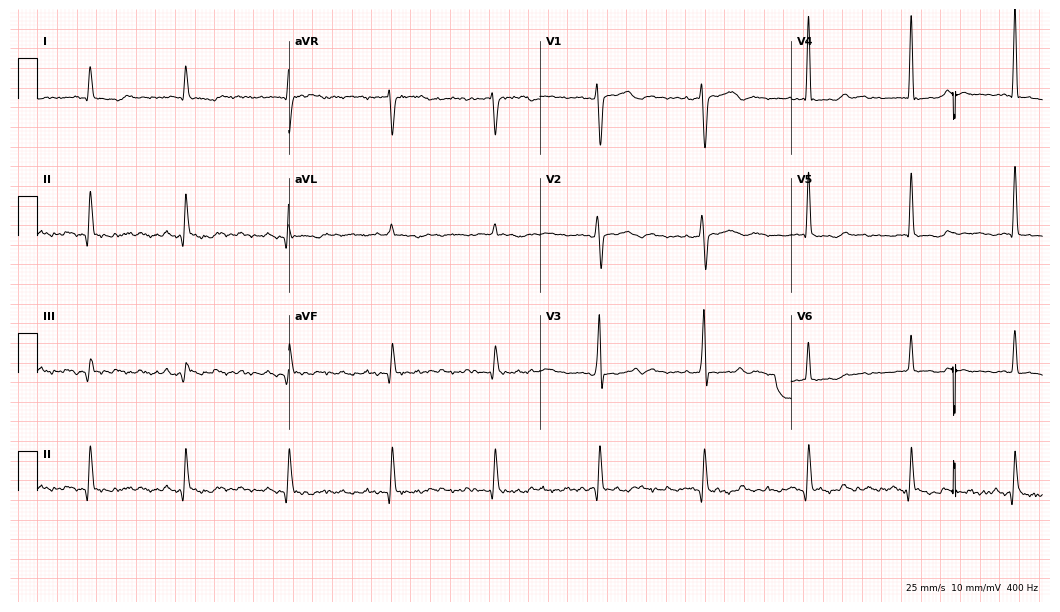
12-lead ECG (10.2-second recording at 400 Hz) from a man, 85 years old. Screened for six findings — first-degree AV block, right bundle branch block, left bundle branch block, sinus bradycardia, atrial fibrillation, sinus tachycardia — none is recorded. Other findings, if any, are not listed.